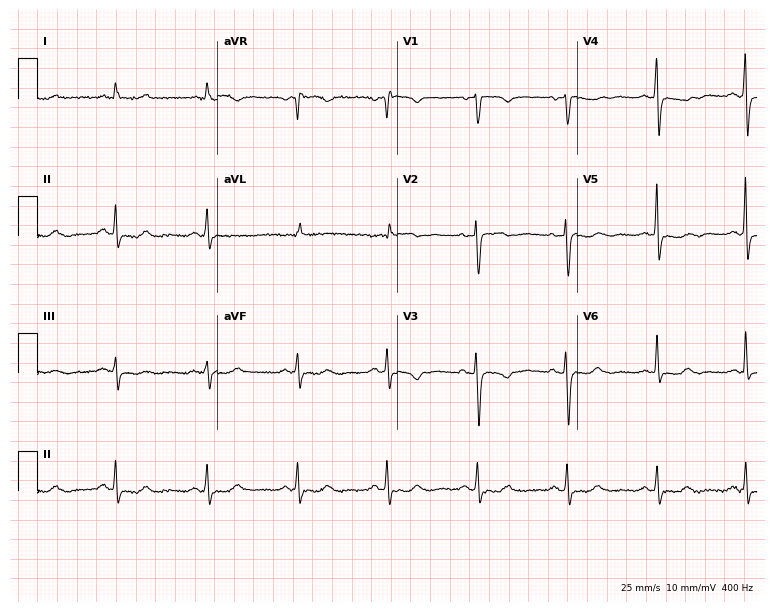
ECG (7.3-second recording at 400 Hz) — a 67-year-old female. Screened for six findings — first-degree AV block, right bundle branch block, left bundle branch block, sinus bradycardia, atrial fibrillation, sinus tachycardia — none is recorded. Other findings, if any, are not listed.